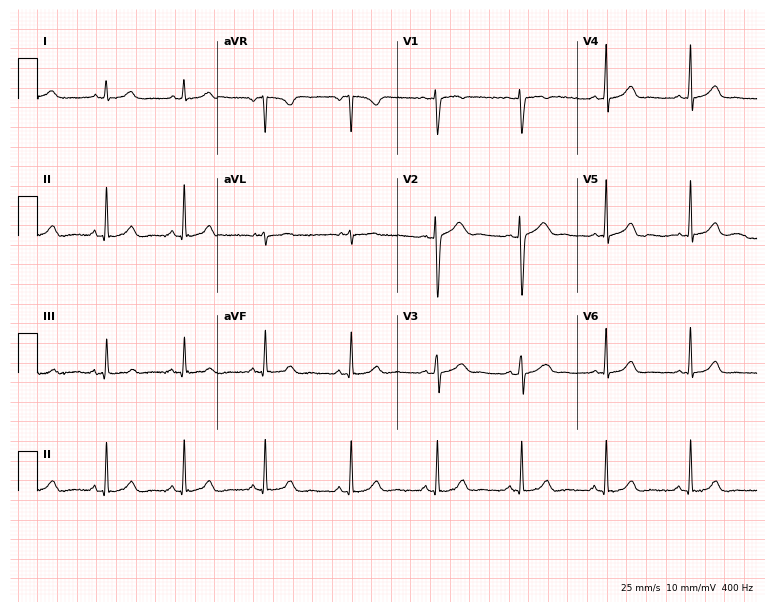
12-lead ECG from a 35-year-old woman. No first-degree AV block, right bundle branch block (RBBB), left bundle branch block (LBBB), sinus bradycardia, atrial fibrillation (AF) or sinus tachycardia recorded for this tracing. Findings outside these six are not listed.